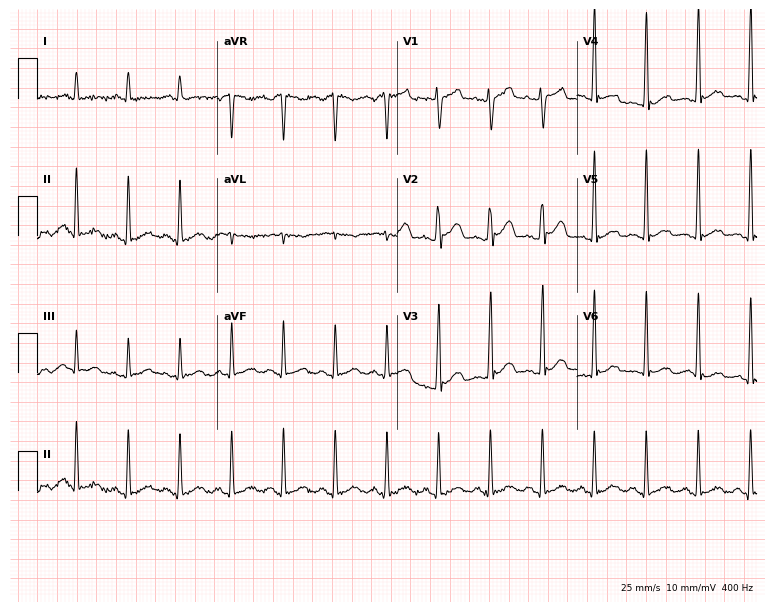
12-lead ECG from a 32-year-old male (7.3-second recording at 400 Hz). Shows sinus tachycardia (a sinus rate of 100 beats per minute or more).